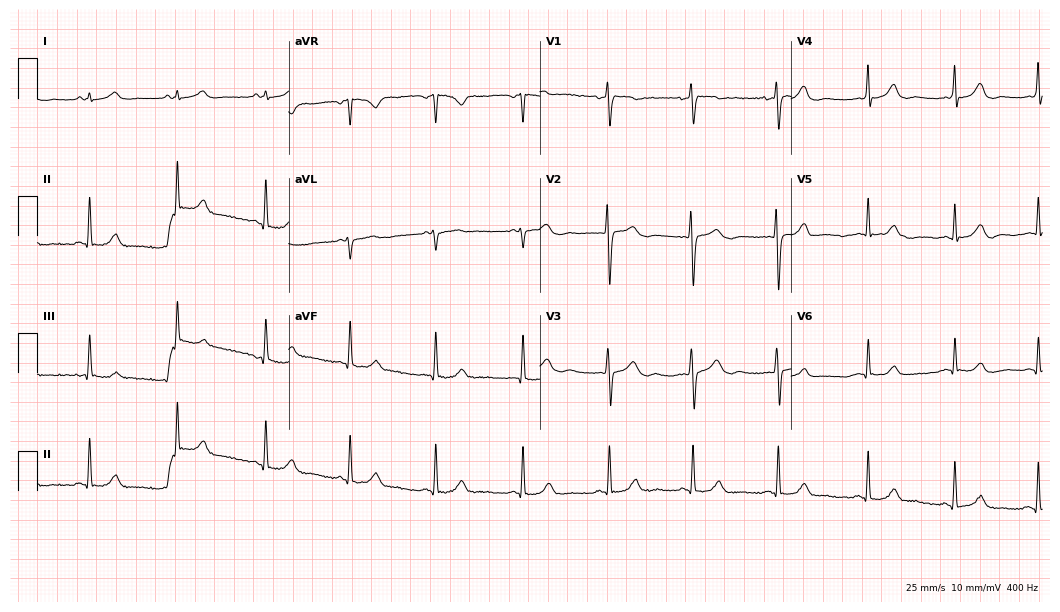
12-lead ECG (10.2-second recording at 400 Hz) from a female patient, 19 years old. Labelled as a normal ECG.